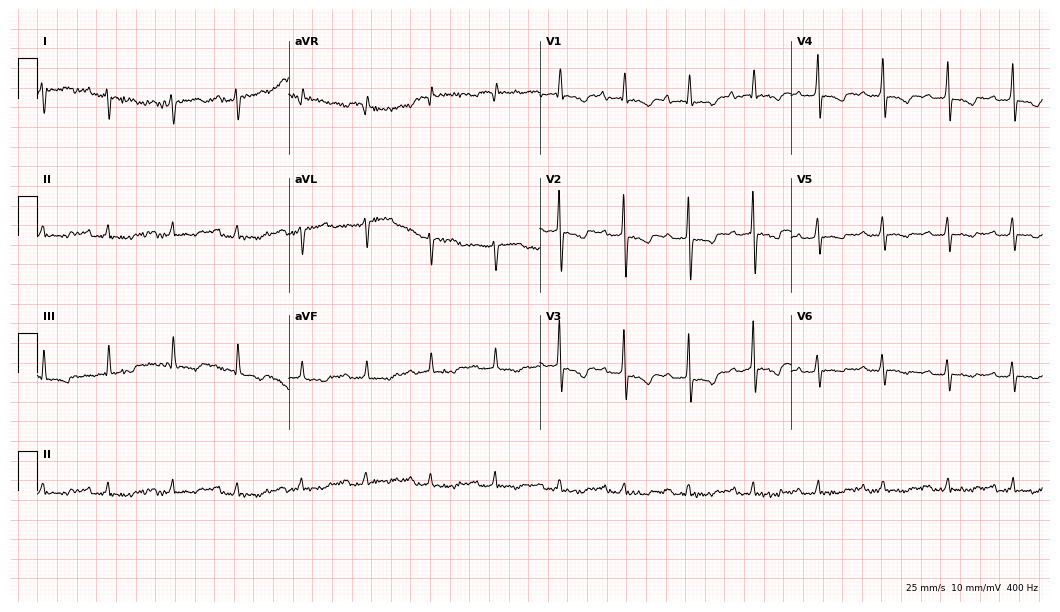
Resting 12-lead electrocardiogram (10.2-second recording at 400 Hz). Patient: a female, 62 years old. None of these six findings is recorded: first-degree AV block, right bundle branch block, left bundle branch block, sinus bradycardia, atrial fibrillation, sinus tachycardia. Findings outside these six are not listed.